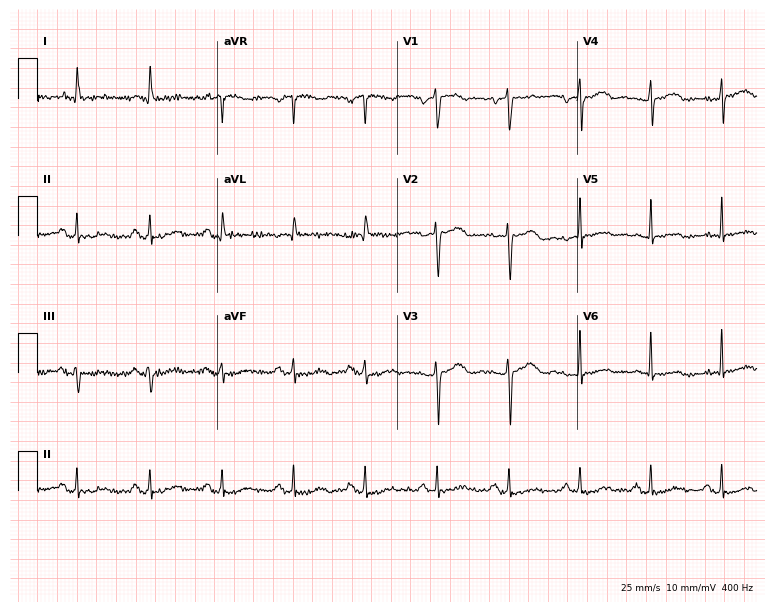
12-lead ECG from an 80-year-old female patient. No first-degree AV block, right bundle branch block (RBBB), left bundle branch block (LBBB), sinus bradycardia, atrial fibrillation (AF) or sinus tachycardia recorded for this tracing. Findings outside these six are not listed.